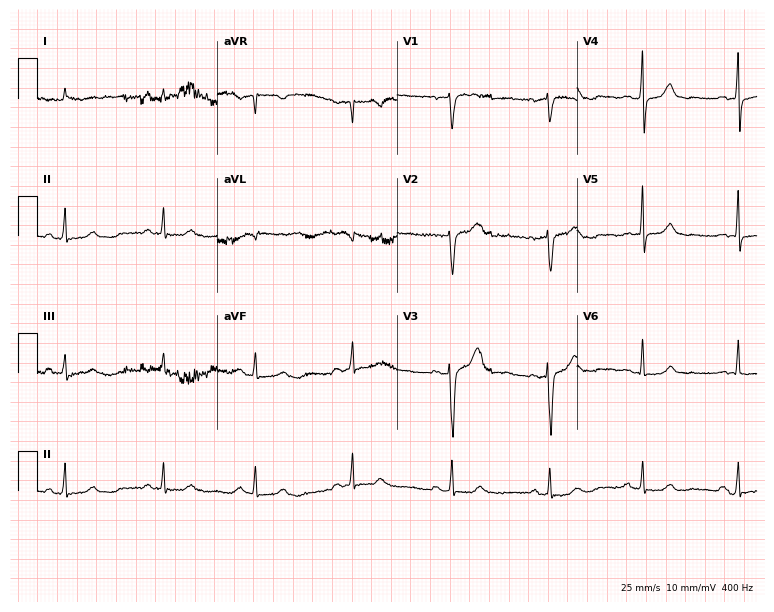
Standard 12-lead ECG recorded from a 51-year-old woman. None of these six findings is recorded: first-degree AV block, right bundle branch block (RBBB), left bundle branch block (LBBB), sinus bradycardia, atrial fibrillation (AF), sinus tachycardia. Only these six findings were labelled.